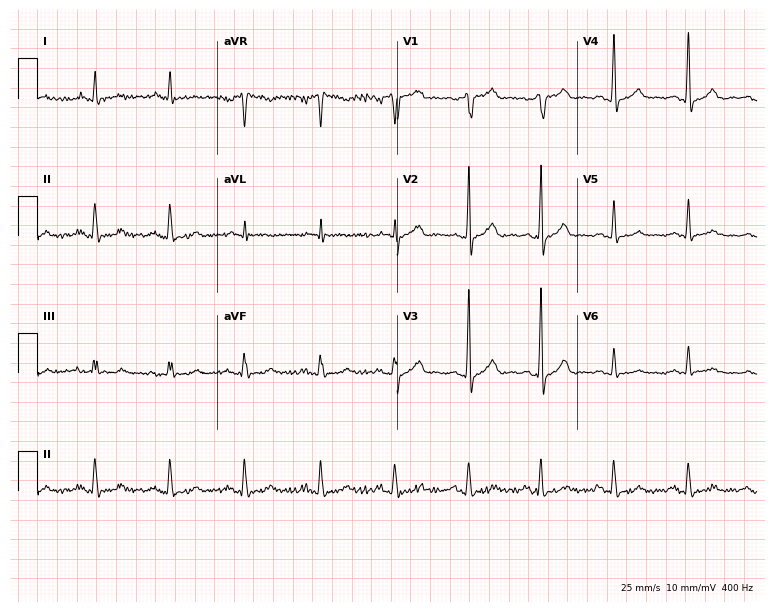
Resting 12-lead electrocardiogram. Patient: a 78-year-old male. None of these six findings is recorded: first-degree AV block, right bundle branch block, left bundle branch block, sinus bradycardia, atrial fibrillation, sinus tachycardia. Only these six findings were labelled.